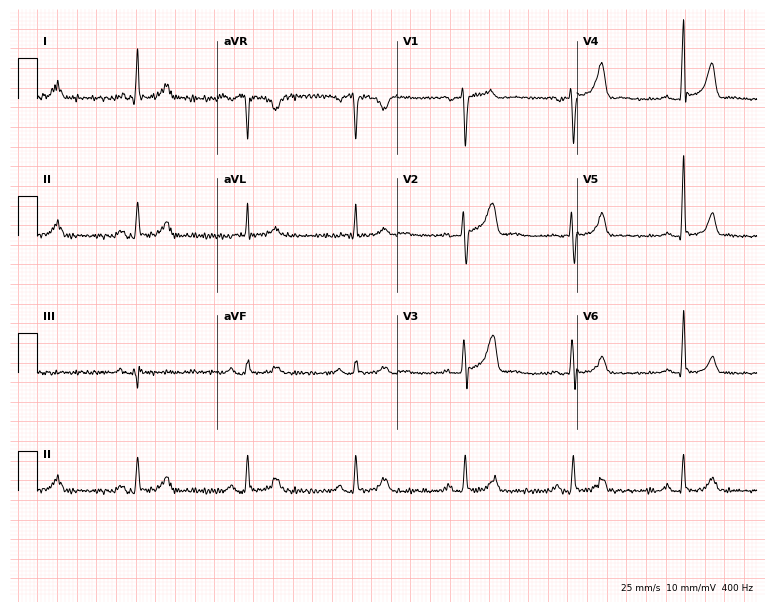
Standard 12-lead ECG recorded from a 56-year-old male (7.3-second recording at 400 Hz). Read as a normal ECG.